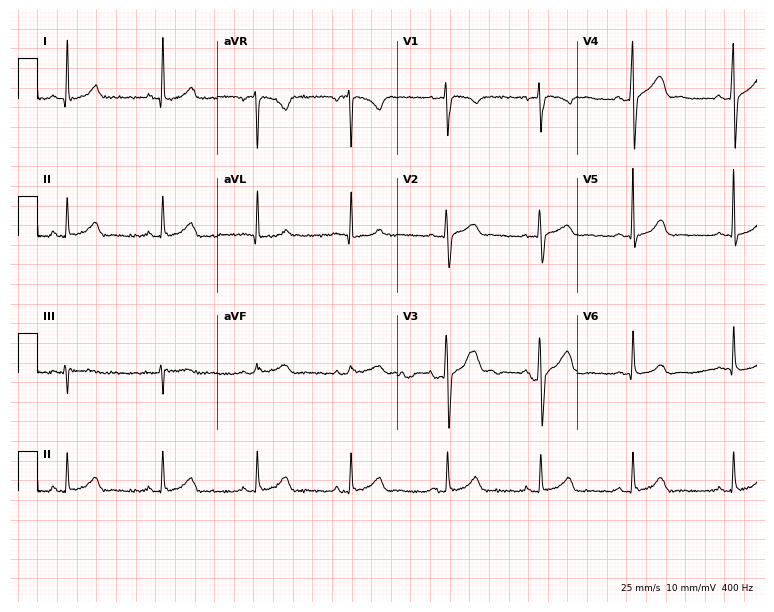
Standard 12-lead ECG recorded from a 21-year-old male. Read as a normal ECG.